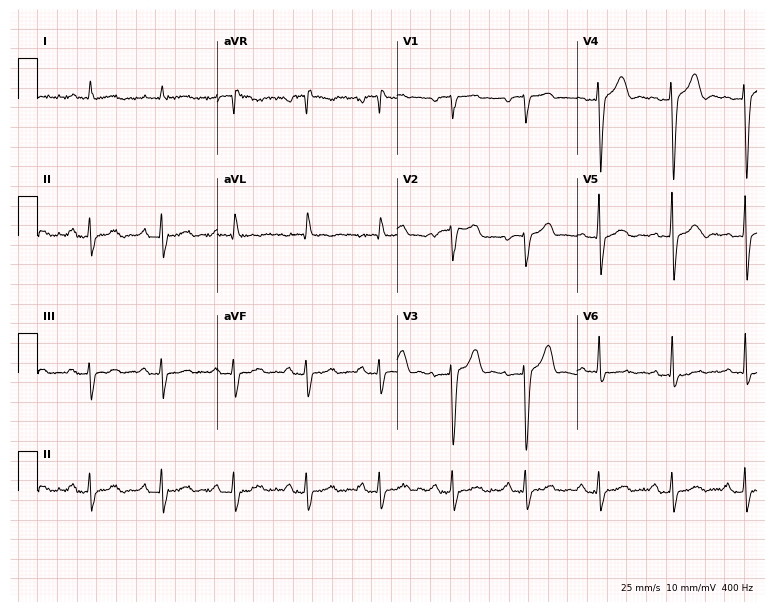
Electrocardiogram, a 78-year-old female patient. Of the six screened findings (first-degree AV block, right bundle branch block (RBBB), left bundle branch block (LBBB), sinus bradycardia, atrial fibrillation (AF), sinus tachycardia), none is recorded.